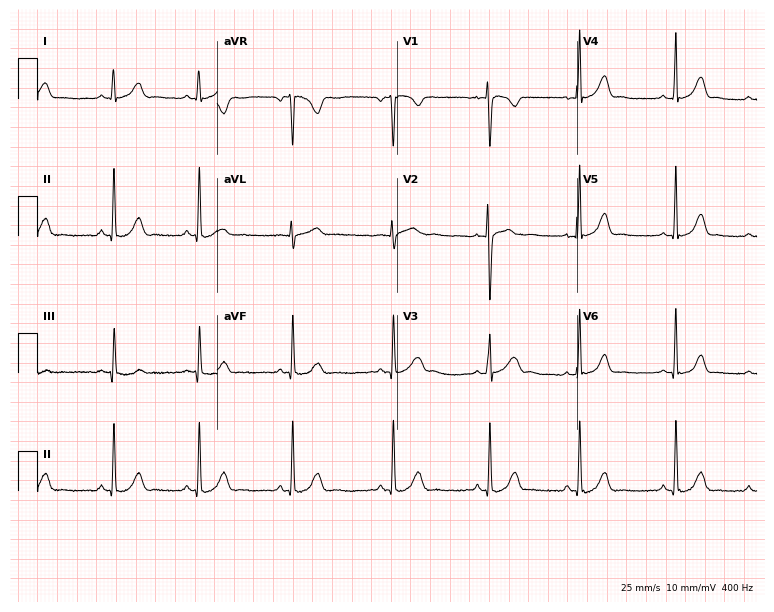
Electrocardiogram, a woman, 17 years old. Overall reading on record: normal ECG.